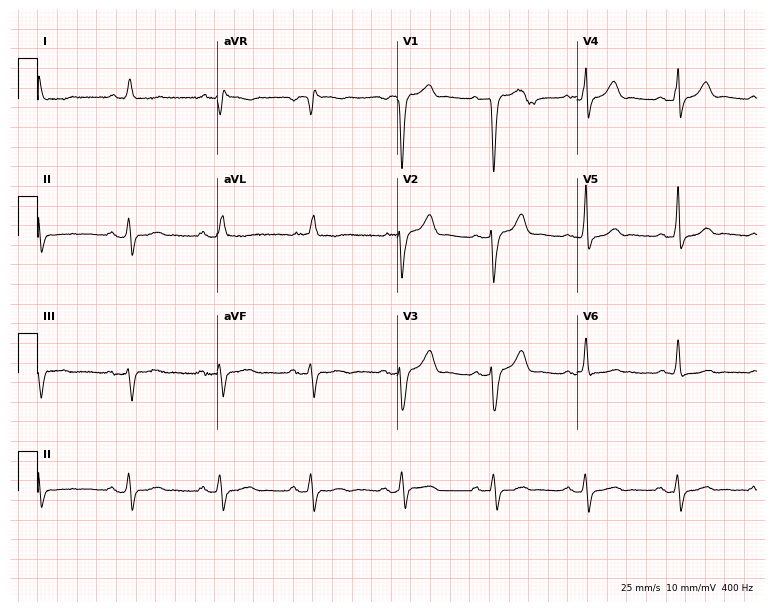
Resting 12-lead electrocardiogram. Patient: a male, 84 years old. The tracing shows left bundle branch block.